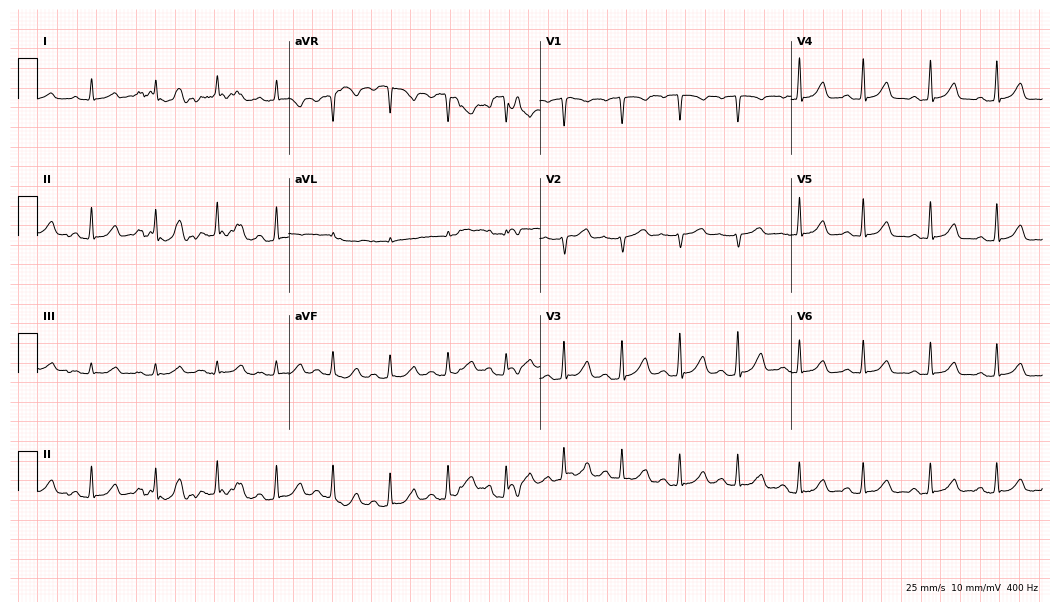
12-lead ECG (10.2-second recording at 400 Hz) from a female, 48 years old. Screened for six findings — first-degree AV block, right bundle branch block, left bundle branch block, sinus bradycardia, atrial fibrillation, sinus tachycardia — none is recorded.